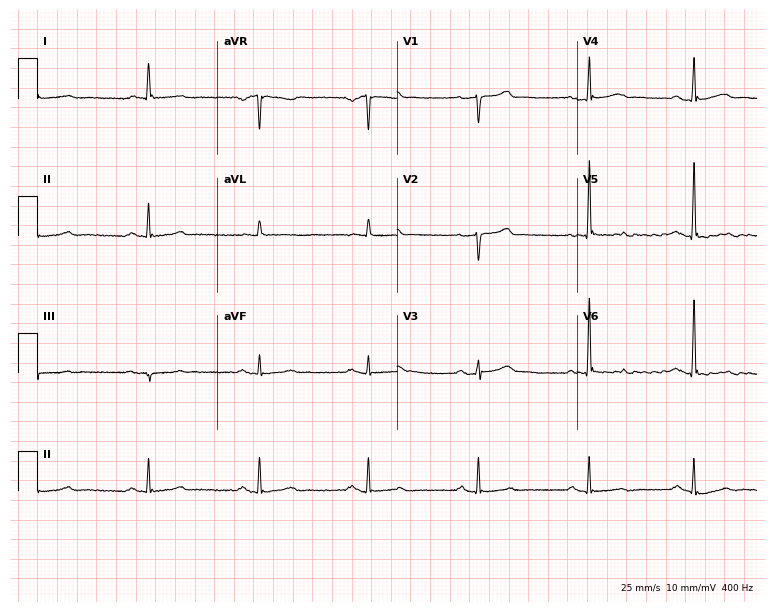
Standard 12-lead ECG recorded from a male, 68 years old. None of these six findings is recorded: first-degree AV block, right bundle branch block, left bundle branch block, sinus bradycardia, atrial fibrillation, sinus tachycardia. Only these six findings were labelled.